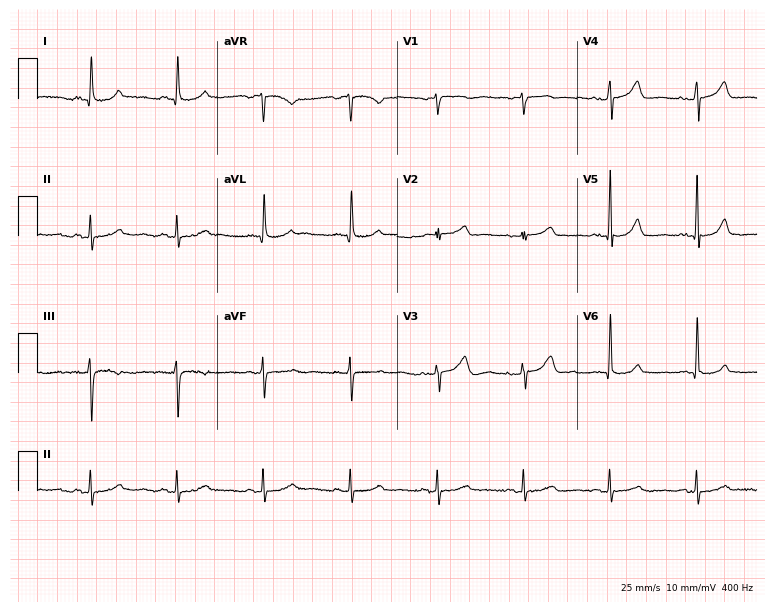
Standard 12-lead ECG recorded from a female patient, 85 years old. Read as a normal ECG.